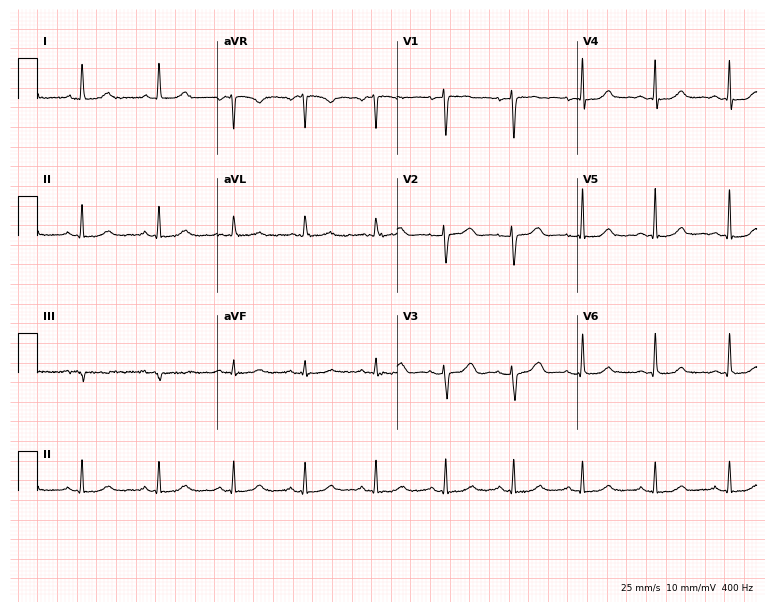
12-lead ECG from a 32-year-old female. Recorded interpretation: within normal limits.